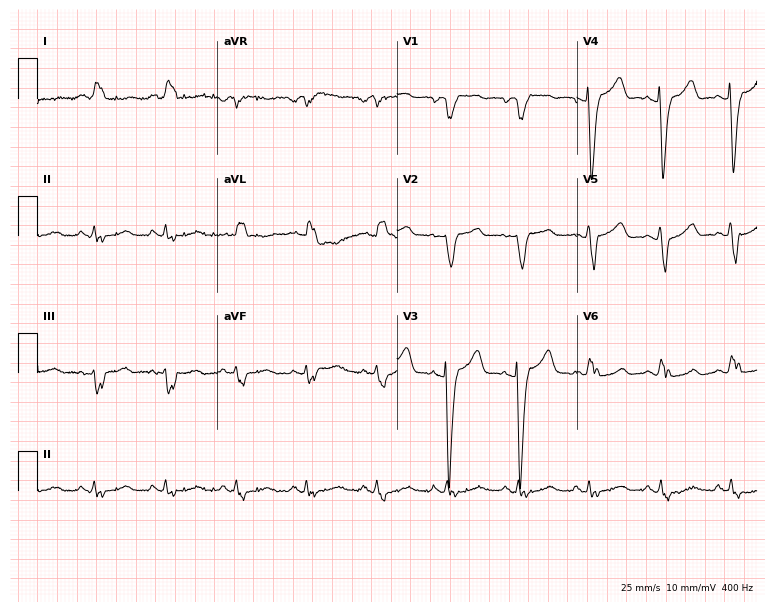
Resting 12-lead electrocardiogram (7.3-second recording at 400 Hz). Patient: a female, 71 years old. The tracing shows left bundle branch block.